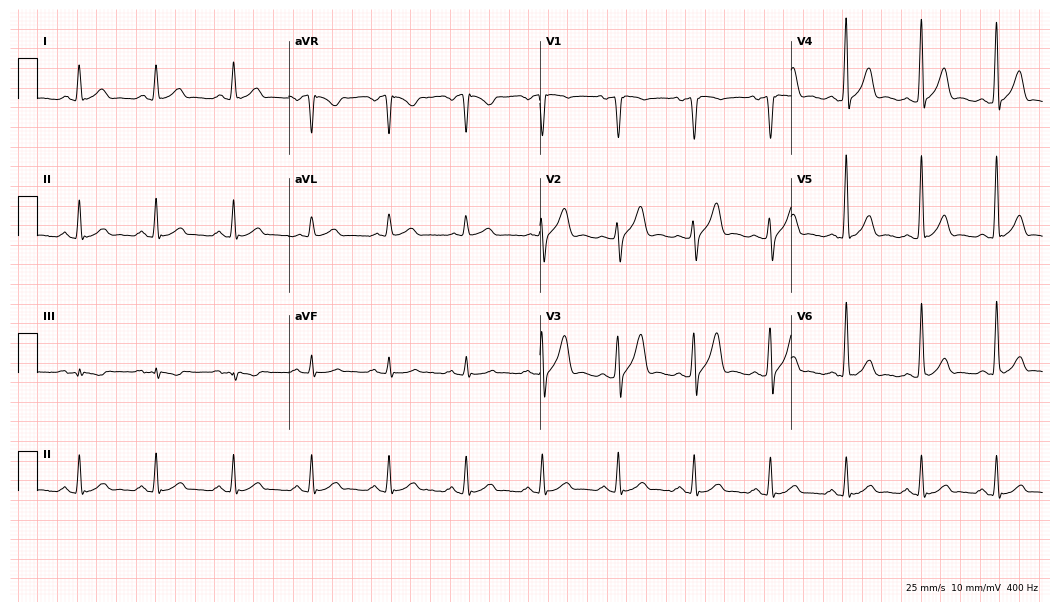
12-lead ECG from a 50-year-old male (10.2-second recording at 400 Hz). Recorded interpretation: within normal limits.